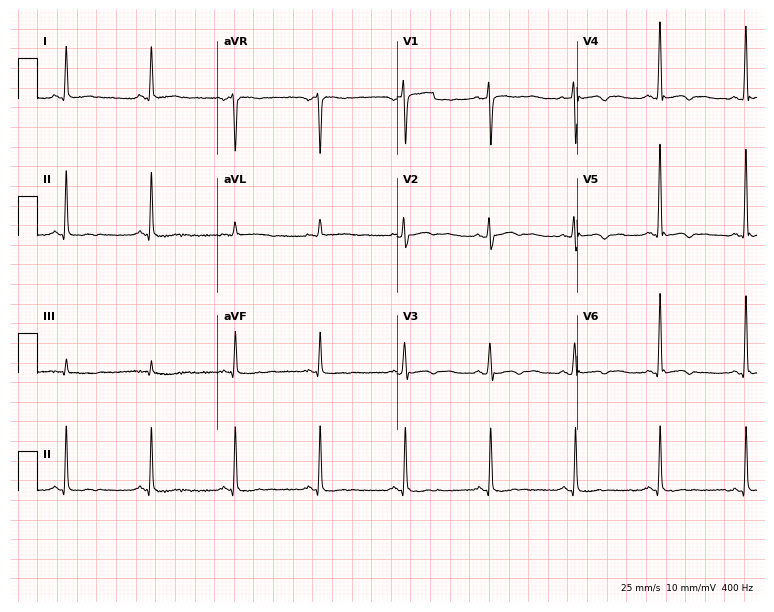
12-lead ECG from a 54-year-old woman. Screened for six findings — first-degree AV block, right bundle branch block, left bundle branch block, sinus bradycardia, atrial fibrillation, sinus tachycardia — none is recorded.